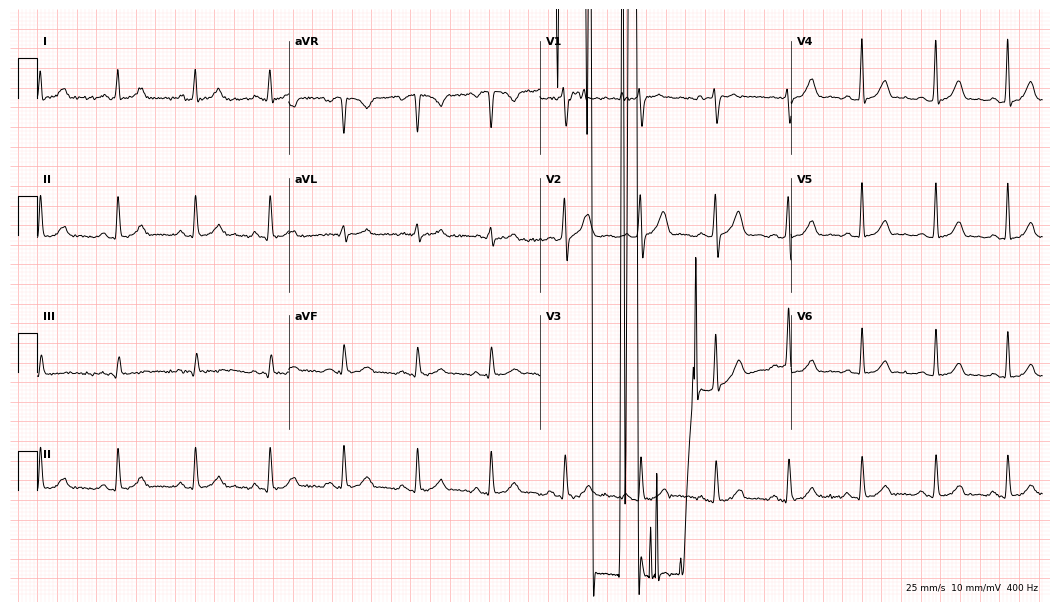
ECG — a female, 28 years old. Labelled as a normal ECG.